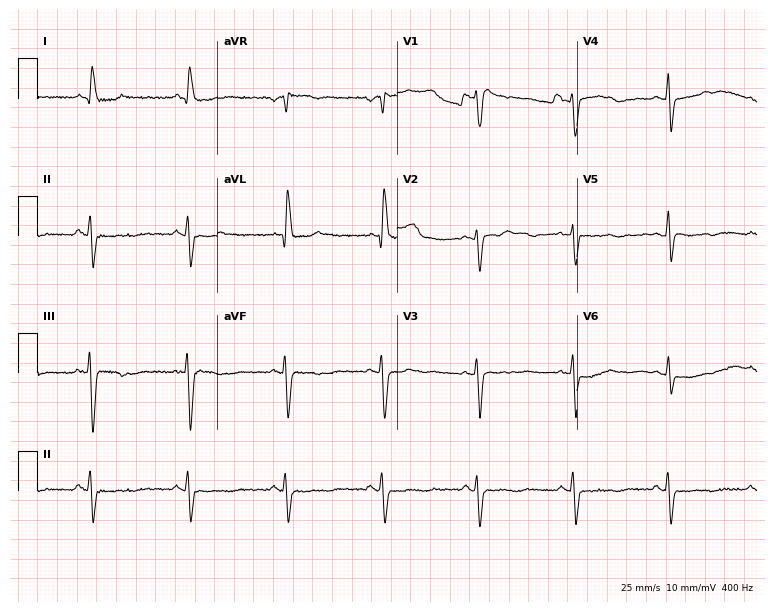
Standard 12-lead ECG recorded from a 60-year-old female patient (7.3-second recording at 400 Hz). None of these six findings is recorded: first-degree AV block, right bundle branch block (RBBB), left bundle branch block (LBBB), sinus bradycardia, atrial fibrillation (AF), sinus tachycardia.